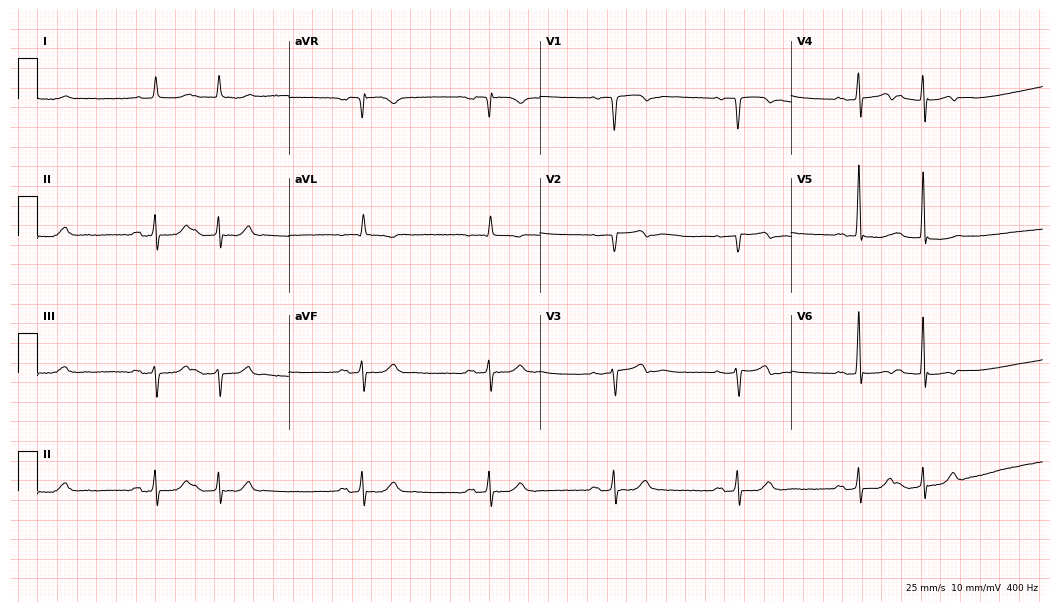
12-lead ECG from an 86-year-old man (10.2-second recording at 400 Hz). No first-degree AV block, right bundle branch block, left bundle branch block, sinus bradycardia, atrial fibrillation or sinus tachycardia recorded for this tracing.